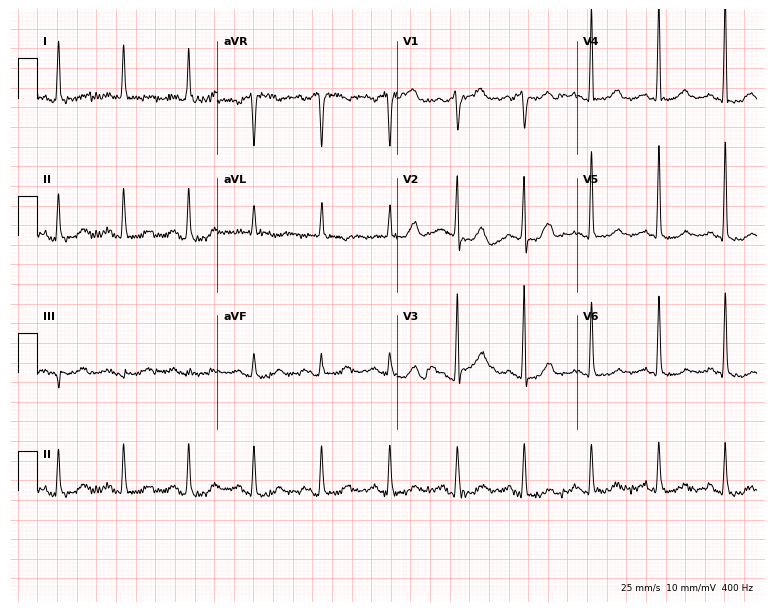
Standard 12-lead ECG recorded from a 65-year-old female. None of these six findings is recorded: first-degree AV block, right bundle branch block (RBBB), left bundle branch block (LBBB), sinus bradycardia, atrial fibrillation (AF), sinus tachycardia. Other findings, if any, are not listed.